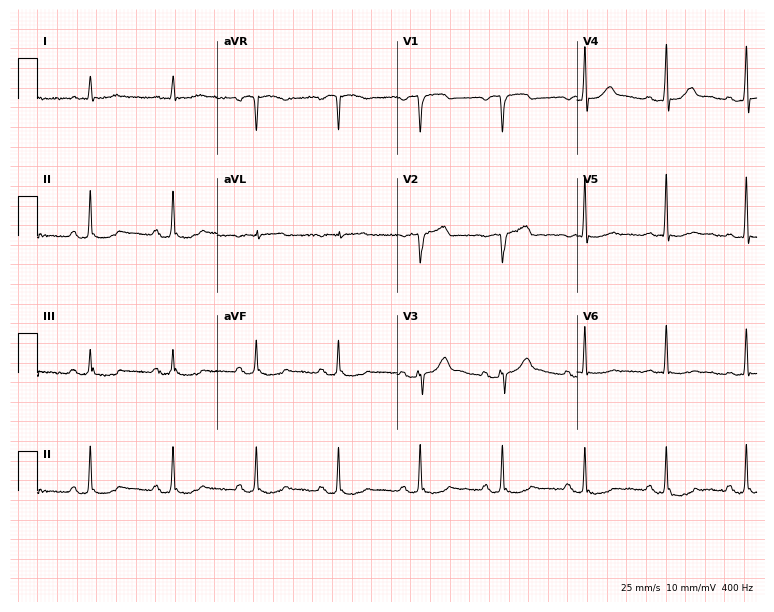
Electrocardiogram (7.3-second recording at 400 Hz), an 81-year-old male patient. Of the six screened findings (first-degree AV block, right bundle branch block (RBBB), left bundle branch block (LBBB), sinus bradycardia, atrial fibrillation (AF), sinus tachycardia), none is recorded.